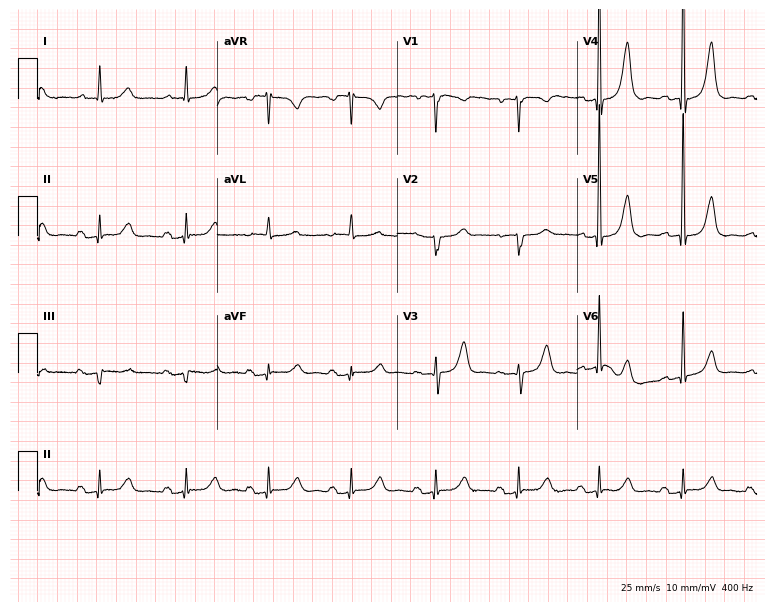
Electrocardiogram, a 74-year-old female. Of the six screened findings (first-degree AV block, right bundle branch block, left bundle branch block, sinus bradycardia, atrial fibrillation, sinus tachycardia), none is recorded. Findings outside these six are not listed.